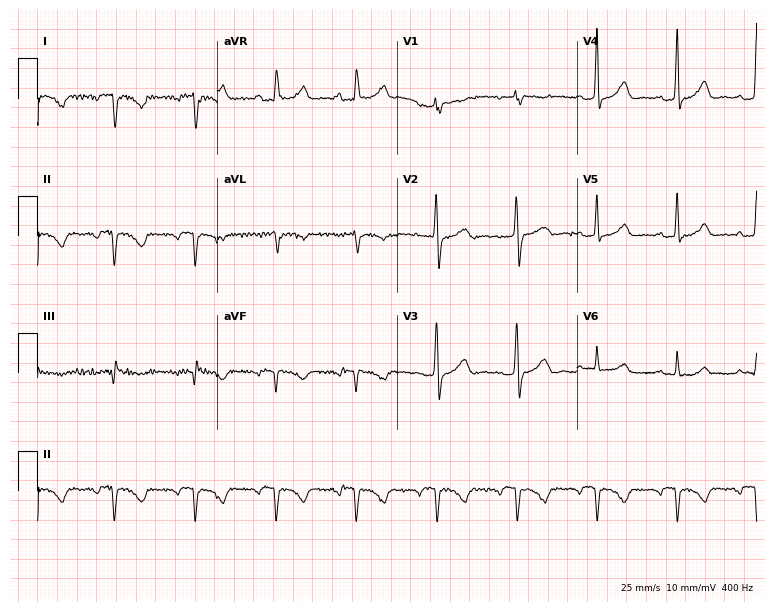
12-lead ECG from a 56-year-old female patient. No first-degree AV block, right bundle branch block (RBBB), left bundle branch block (LBBB), sinus bradycardia, atrial fibrillation (AF) or sinus tachycardia recorded for this tracing. Findings outside these six are not listed.